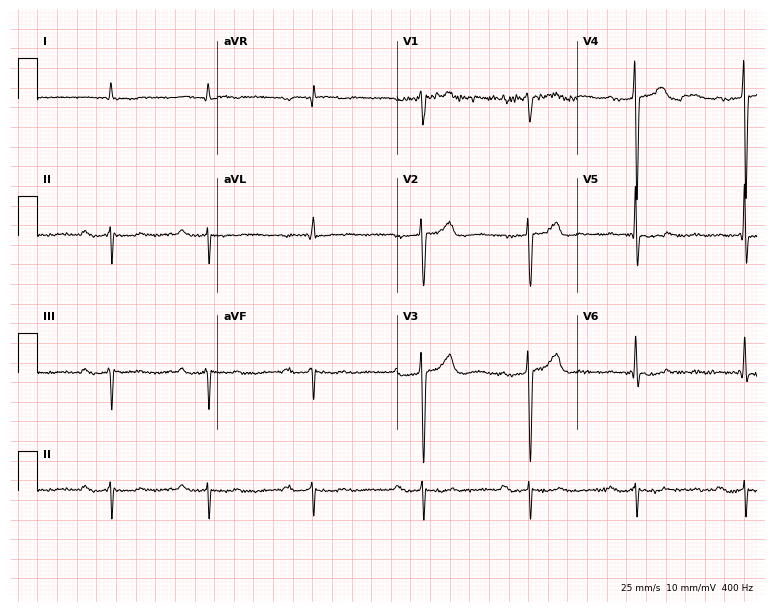
12-lead ECG from a male, 76 years old (7.3-second recording at 400 Hz). Shows first-degree AV block.